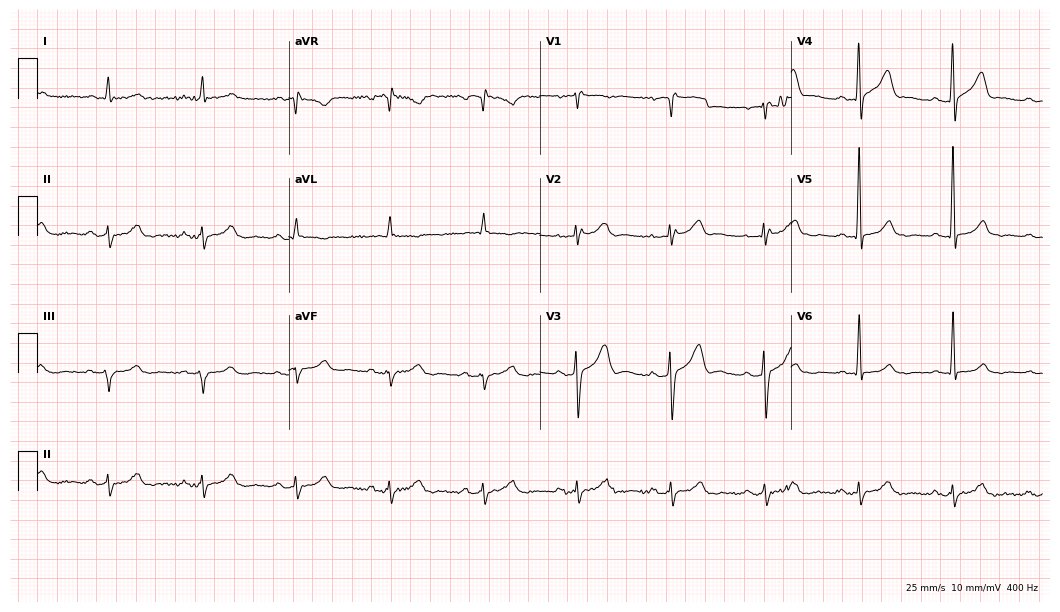
12-lead ECG from a 77-year-old man. No first-degree AV block, right bundle branch block, left bundle branch block, sinus bradycardia, atrial fibrillation or sinus tachycardia recorded for this tracing.